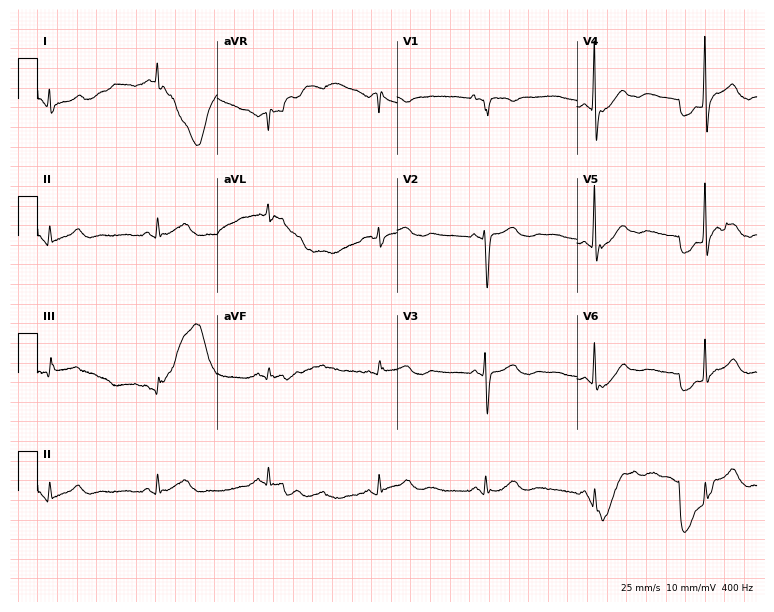
Resting 12-lead electrocardiogram (7.3-second recording at 400 Hz). Patient: a female, 74 years old. None of these six findings is recorded: first-degree AV block, right bundle branch block (RBBB), left bundle branch block (LBBB), sinus bradycardia, atrial fibrillation (AF), sinus tachycardia. Only these six findings were labelled.